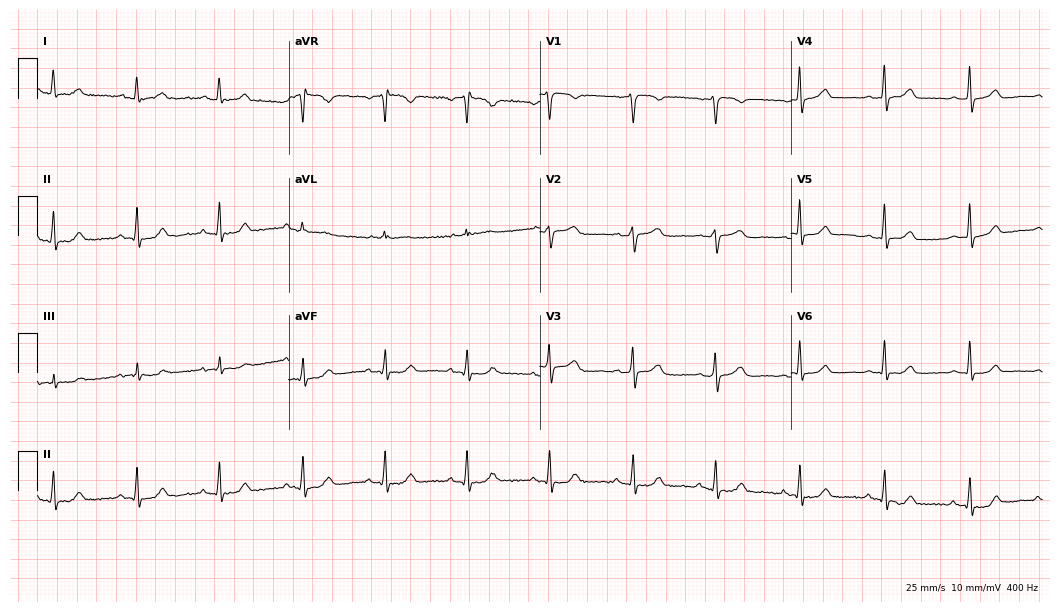
12-lead ECG from a 72-year-old woman. Recorded interpretation: within normal limits.